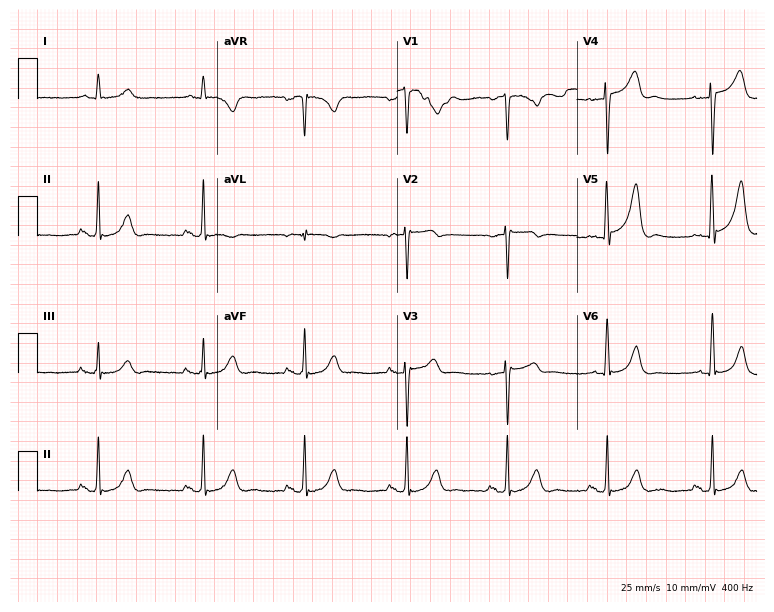
ECG (7.3-second recording at 400 Hz) — a 71-year-old male. Screened for six findings — first-degree AV block, right bundle branch block, left bundle branch block, sinus bradycardia, atrial fibrillation, sinus tachycardia — none is recorded. Only these six findings were labelled.